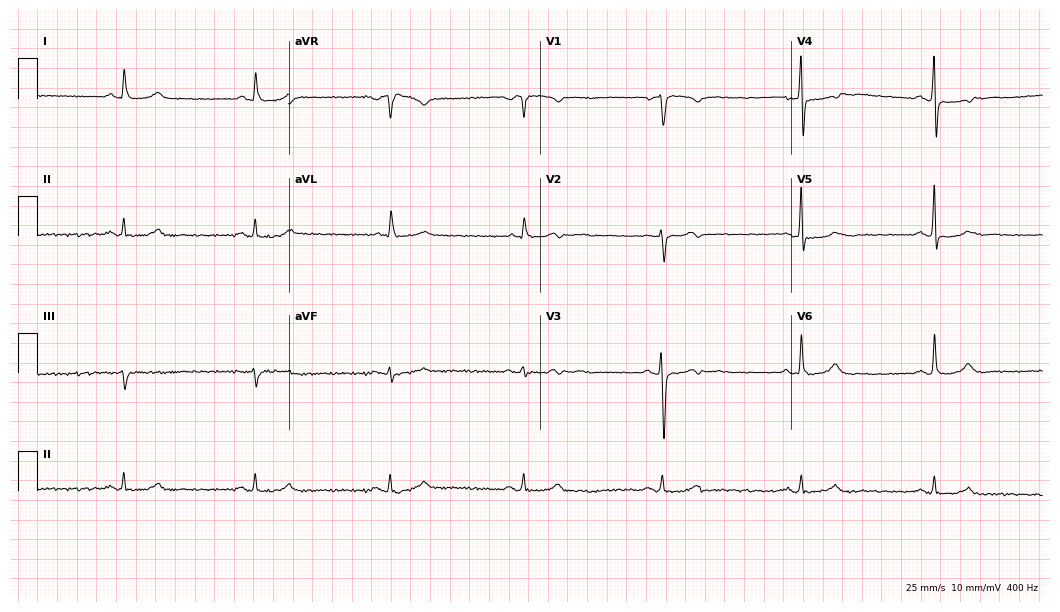
12-lead ECG from a man, 61 years old (10.2-second recording at 400 Hz). Shows sinus bradycardia (a sinus rate of 50 beats per minute or less).